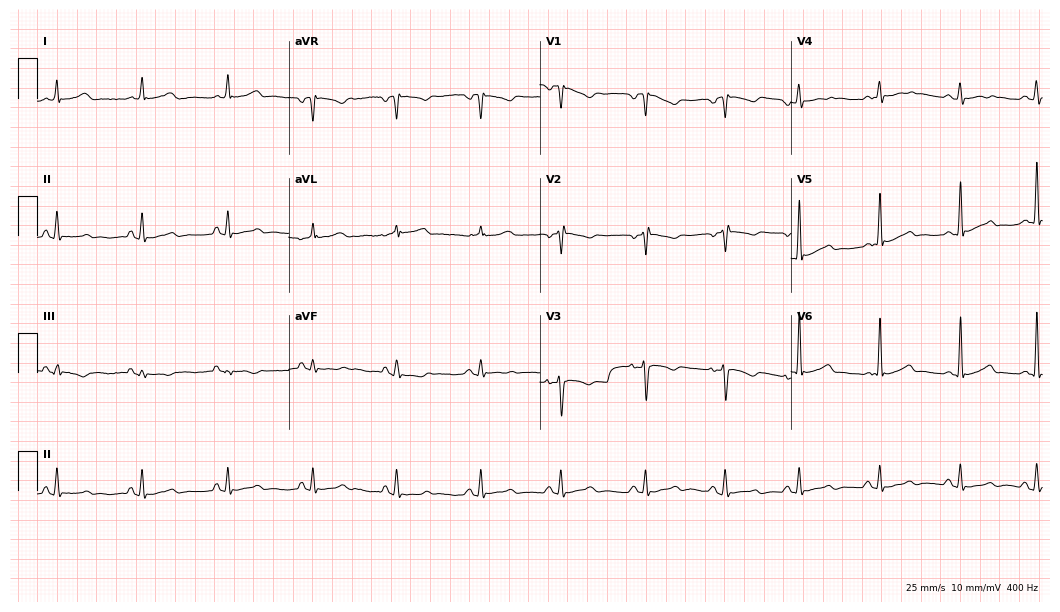
Electrocardiogram (10.2-second recording at 400 Hz), a 26-year-old female patient. Overall reading on record: normal ECG.